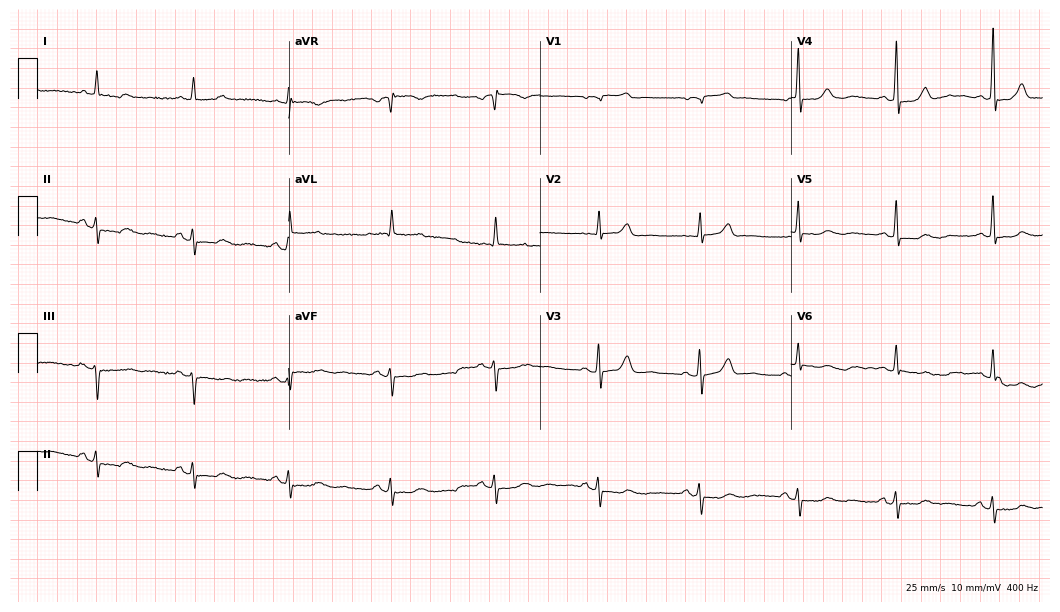
ECG — a female patient, 71 years old. Screened for six findings — first-degree AV block, right bundle branch block, left bundle branch block, sinus bradycardia, atrial fibrillation, sinus tachycardia — none is recorded.